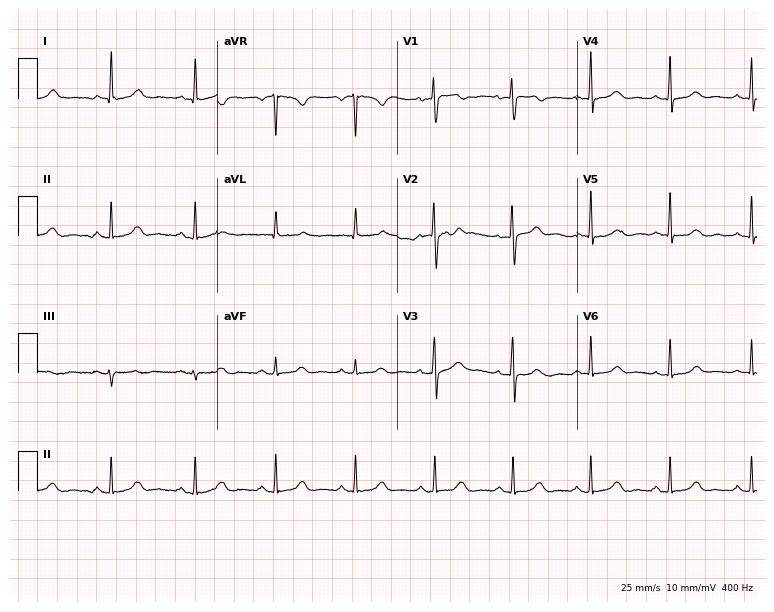
Standard 12-lead ECG recorded from a woman, 50 years old. None of these six findings is recorded: first-degree AV block, right bundle branch block, left bundle branch block, sinus bradycardia, atrial fibrillation, sinus tachycardia. Only these six findings were labelled.